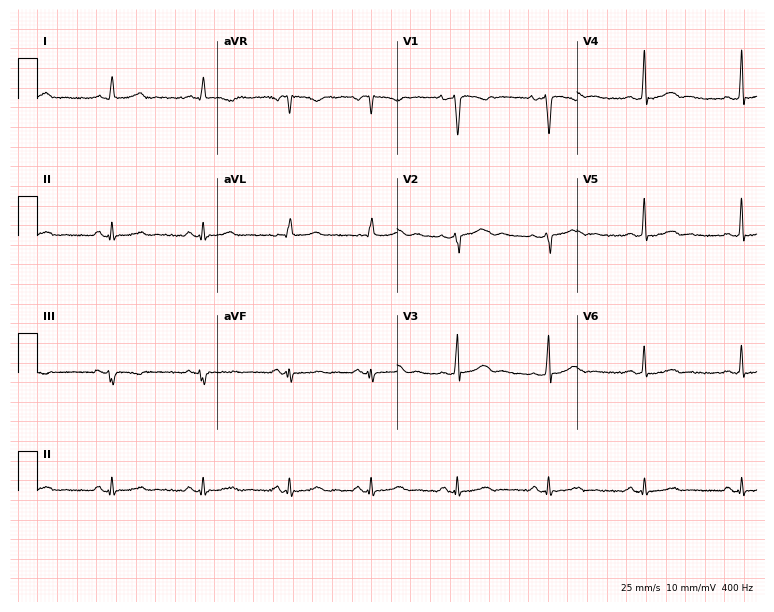
12-lead ECG from a female, 47 years old. No first-degree AV block, right bundle branch block (RBBB), left bundle branch block (LBBB), sinus bradycardia, atrial fibrillation (AF) or sinus tachycardia recorded for this tracing. Other findings, if any, are not listed.